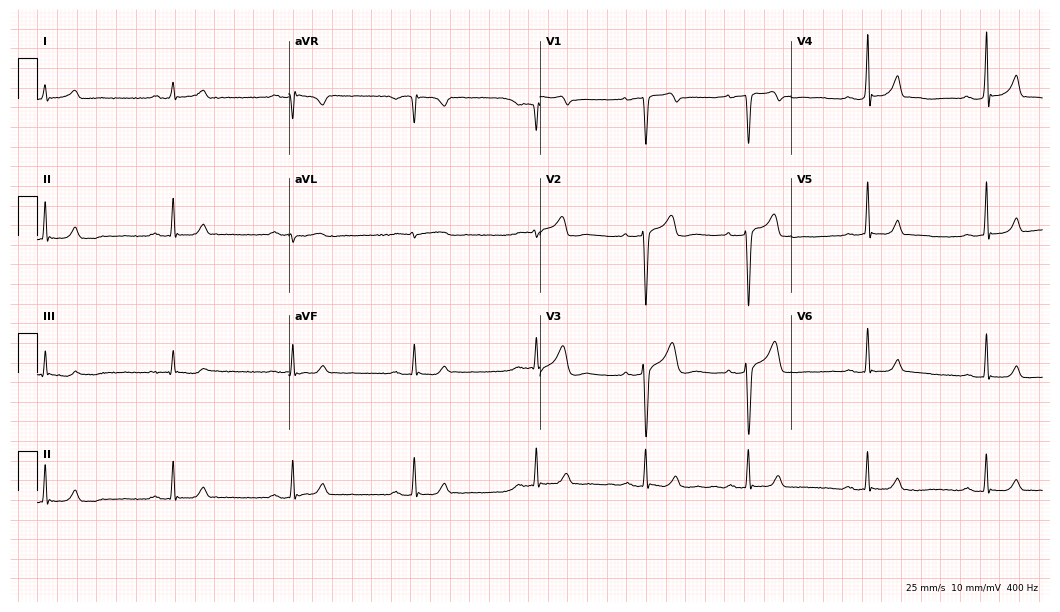
12-lead ECG (10.2-second recording at 400 Hz) from a male, 35 years old. Labelled as a normal ECG.